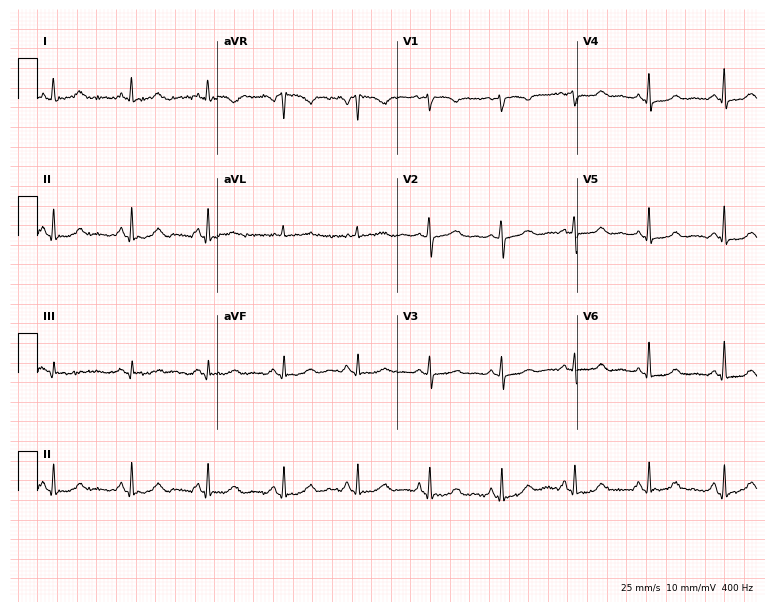
Electrocardiogram, a female patient, 49 years old. Of the six screened findings (first-degree AV block, right bundle branch block, left bundle branch block, sinus bradycardia, atrial fibrillation, sinus tachycardia), none is recorded.